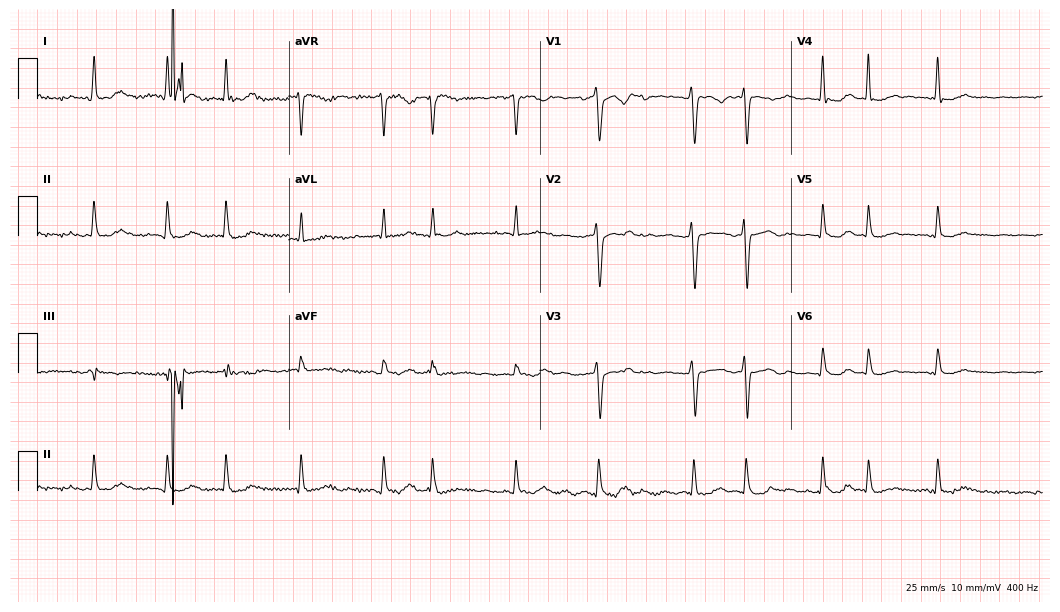
Resting 12-lead electrocardiogram (10.2-second recording at 400 Hz). Patient: a 70-year-old female. None of these six findings is recorded: first-degree AV block, right bundle branch block (RBBB), left bundle branch block (LBBB), sinus bradycardia, atrial fibrillation (AF), sinus tachycardia.